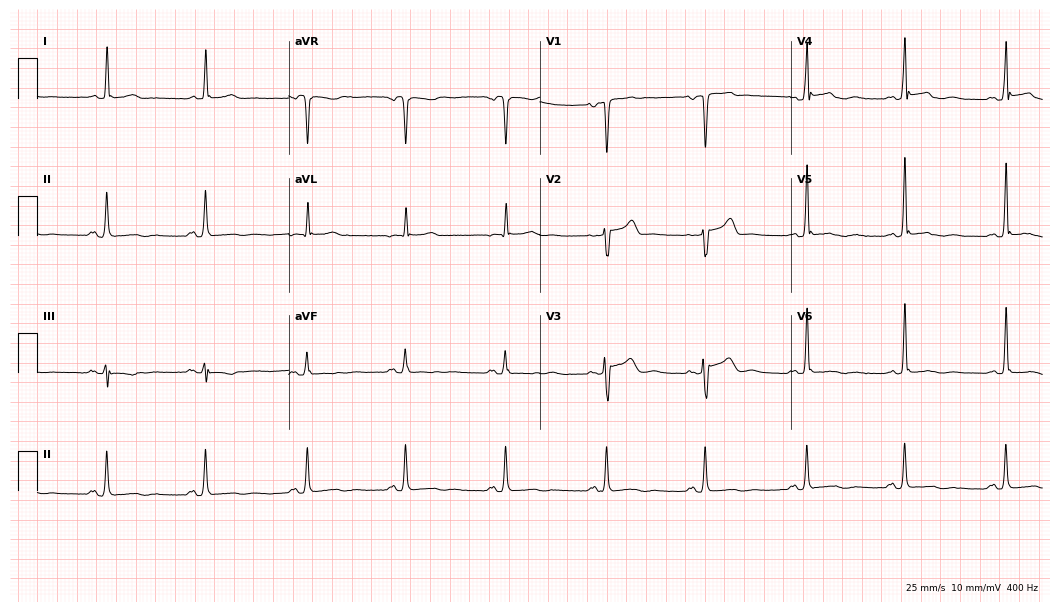
ECG — a male, 71 years old. Labelled as a normal ECG.